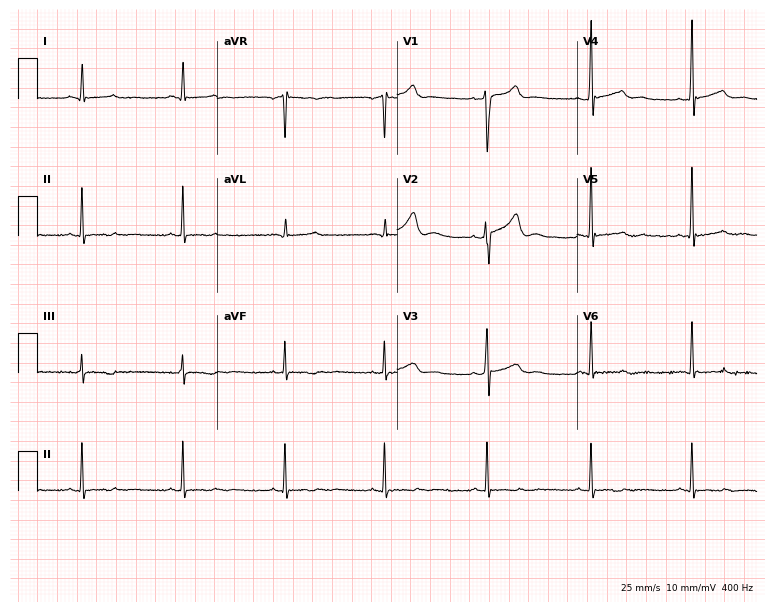
12-lead ECG from a 50-year-old woman. Recorded interpretation: within normal limits.